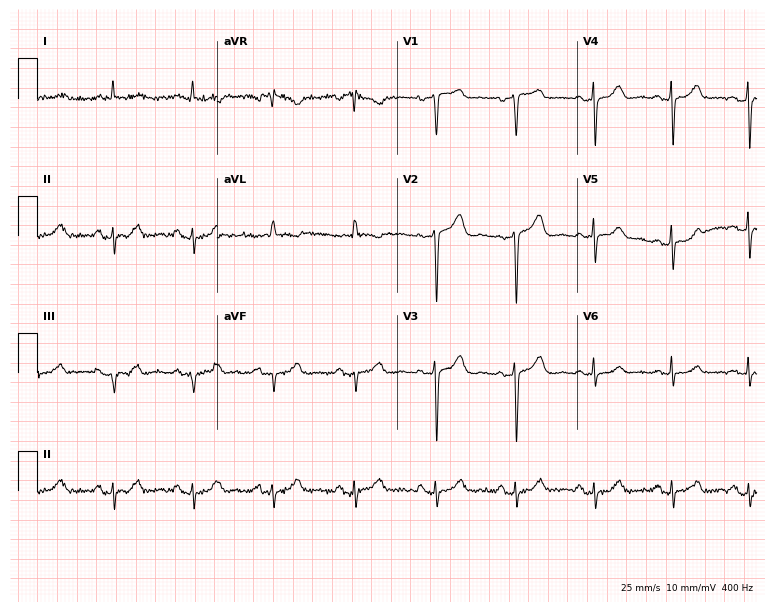
Electrocardiogram (7.3-second recording at 400 Hz), a female patient, 56 years old. Of the six screened findings (first-degree AV block, right bundle branch block, left bundle branch block, sinus bradycardia, atrial fibrillation, sinus tachycardia), none is recorded. Only these six findings were labelled.